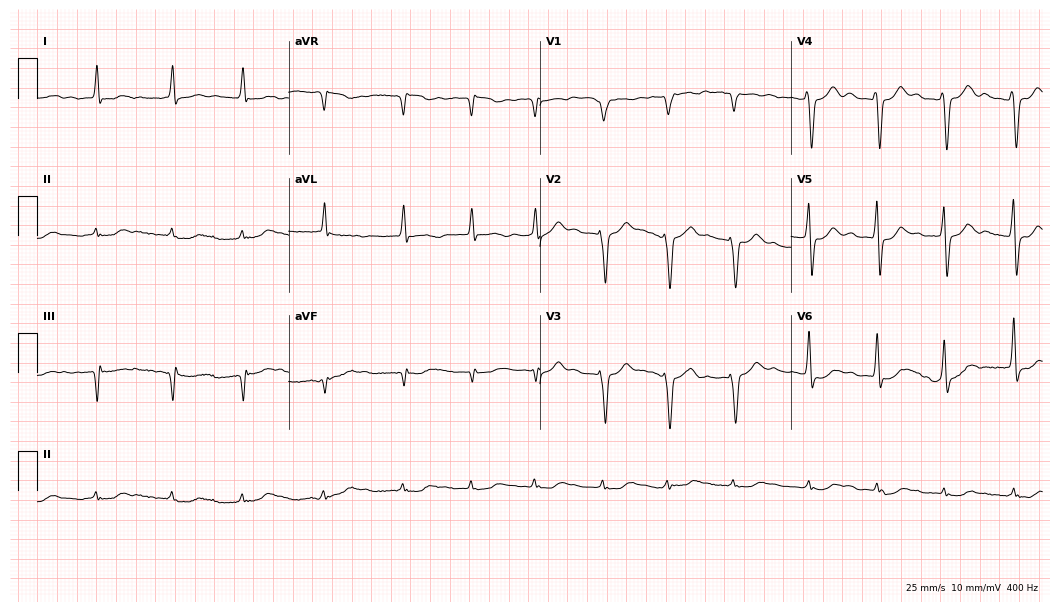
12-lead ECG from an 84-year-old man (10.2-second recording at 400 Hz). No first-degree AV block, right bundle branch block, left bundle branch block, sinus bradycardia, atrial fibrillation or sinus tachycardia recorded for this tracing. Only these six findings were labelled.